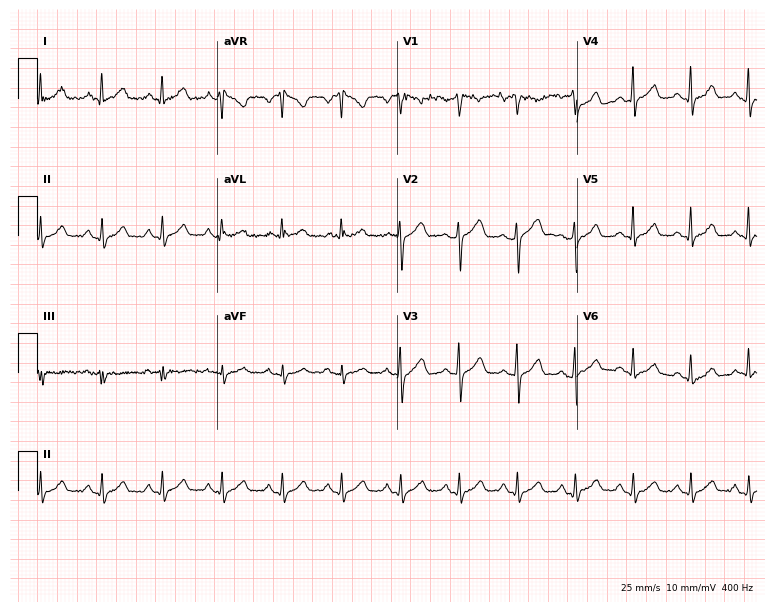
Resting 12-lead electrocardiogram (7.3-second recording at 400 Hz). Patient: a 41-year-old woman. The tracing shows sinus tachycardia (a sinus rate of 100 beats per minute or more).